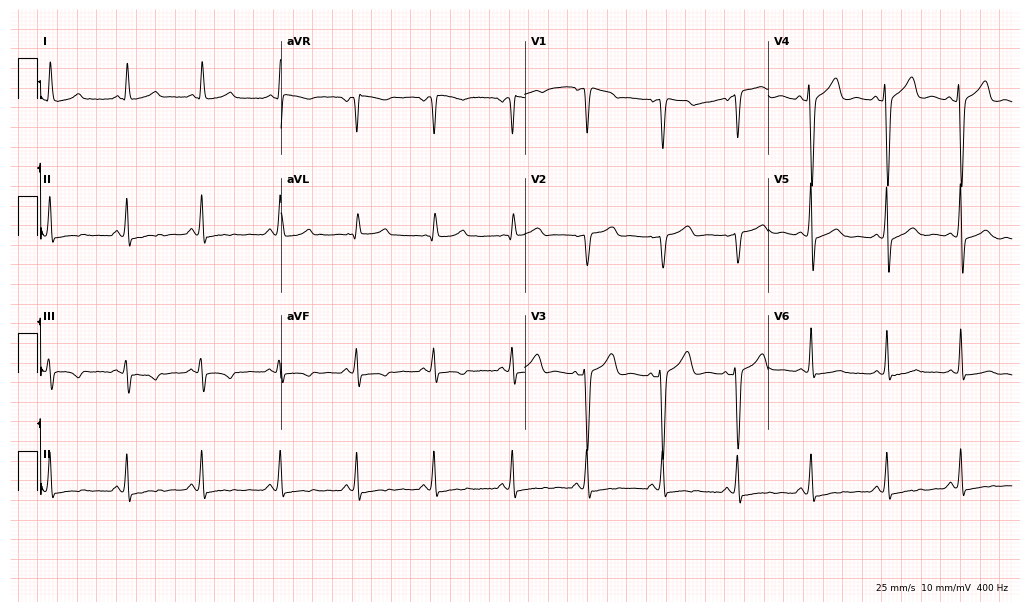
ECG — a woman, 35 years old. Labelled as a normal ECG.